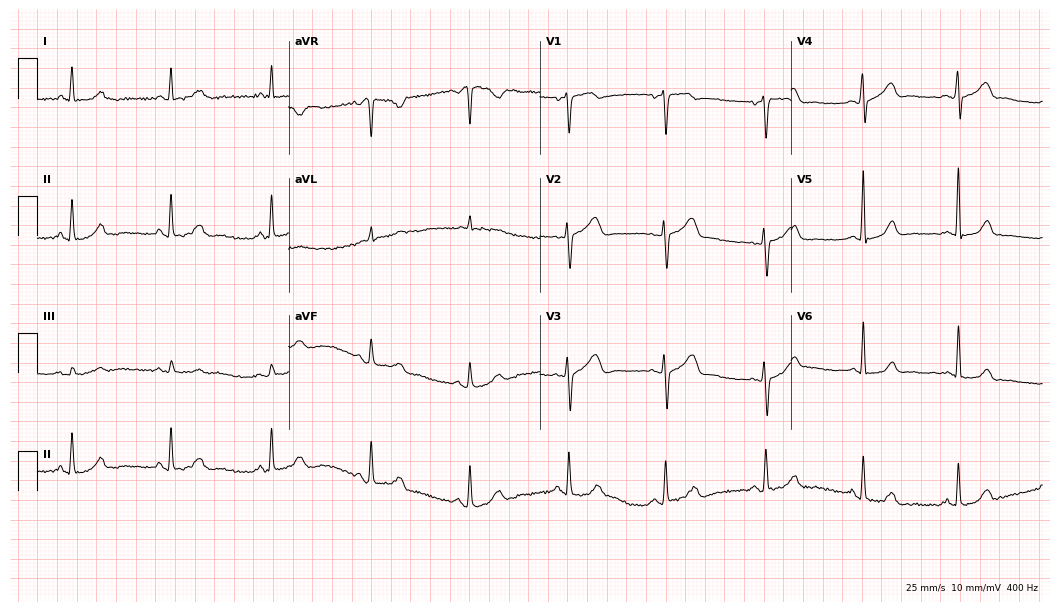
12-lead ECG from a woman, 63 years old. Recorded interpretation: within normal limits.